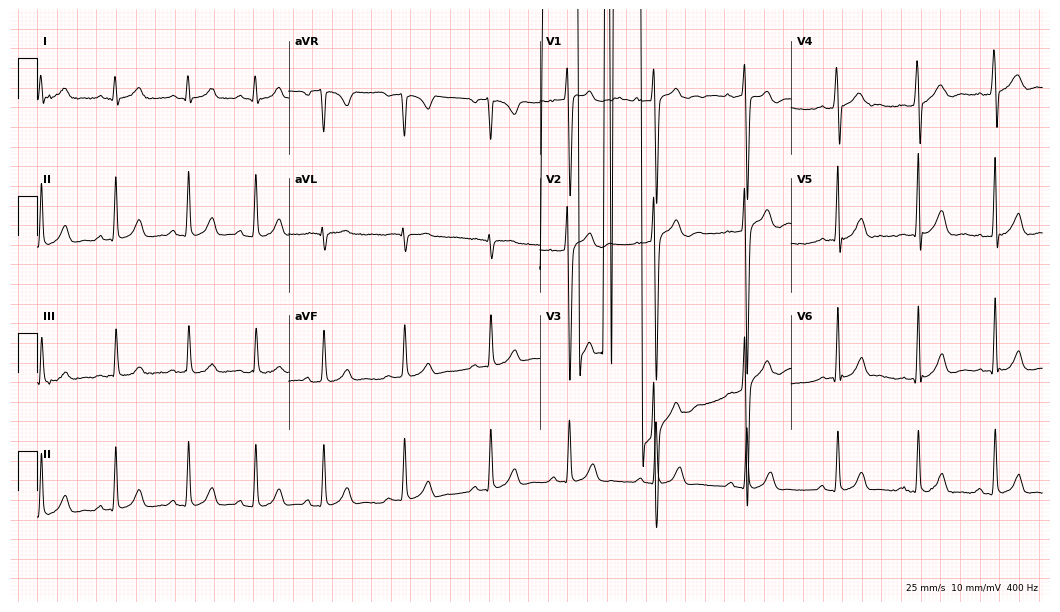
12-lead ECG from an 18-year-old male (10.2-second recording at 400 Hz). No first-degree AV block, right bundle branch block (RBBB), left bundle branch block (LBBB), sinus bradycardia, atrial fibrillation (AF) or sinus tachycardia recorded for this tracing.